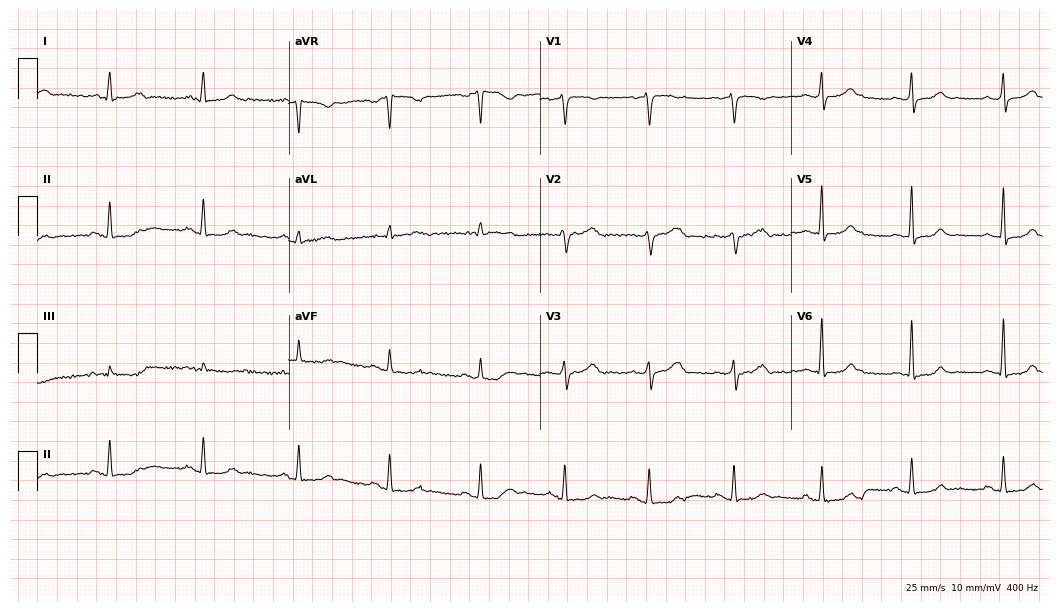
Standard 12-lead ECG recorded from a 30-year-old female. Read as a normal ECG.